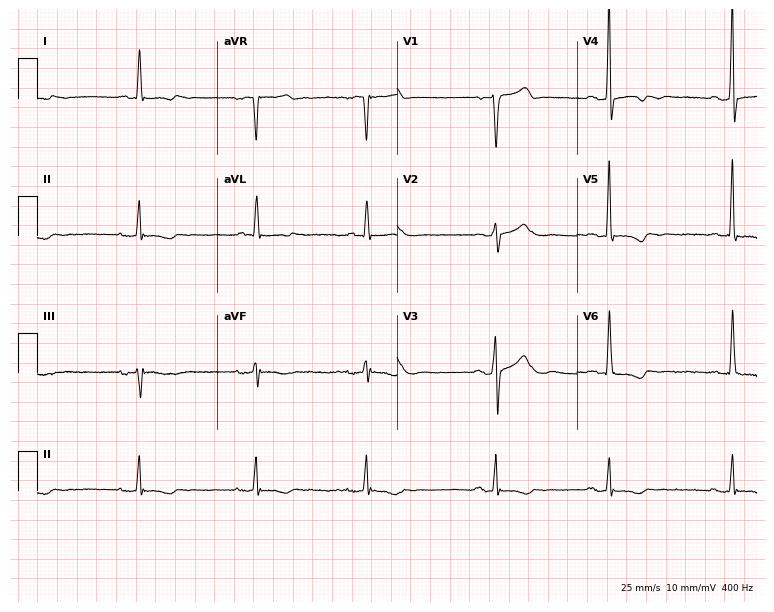
Resting 12-lead electrocardiogram (7.3-second recording at 400 Hz). Patient: a 70-year-old male. The tracing shows sinus bradycardia (a sinus rate of 50 beats per minute or less).